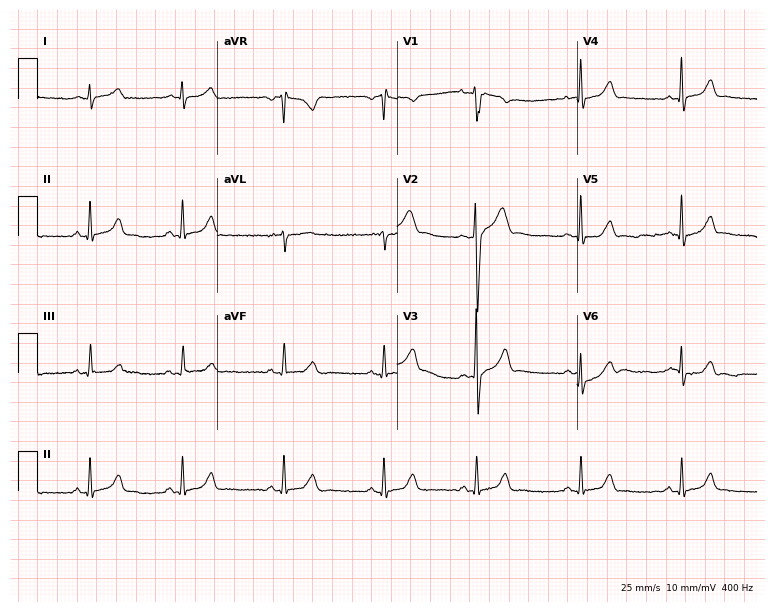
Electrocardiogram, a 23-year-old male. Overall reading on record: normal ECG.